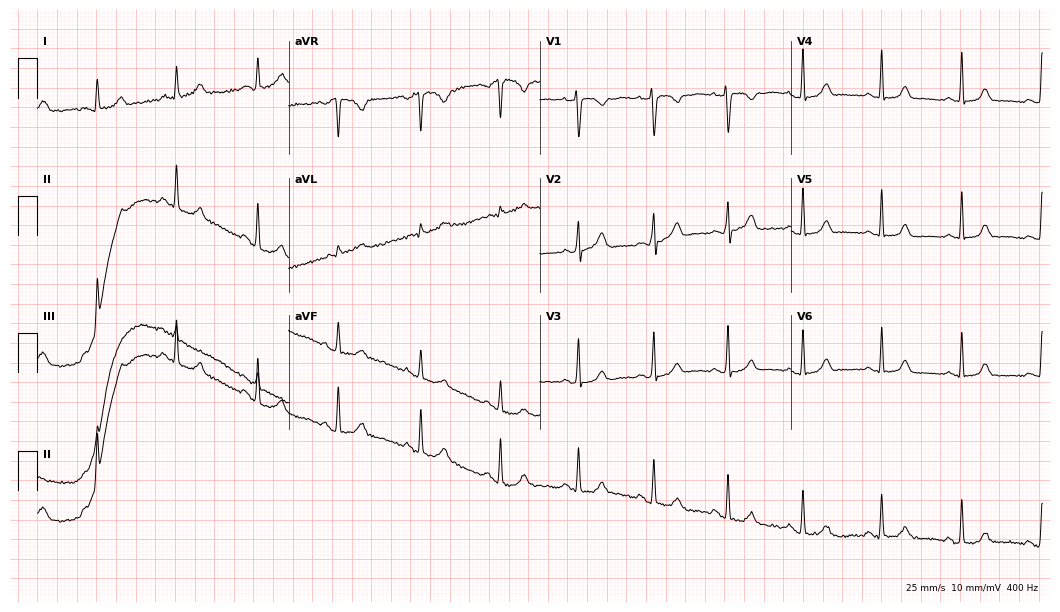
12-lead ECG from a 26-year-old female. Recorded interpretation: within normal limits.